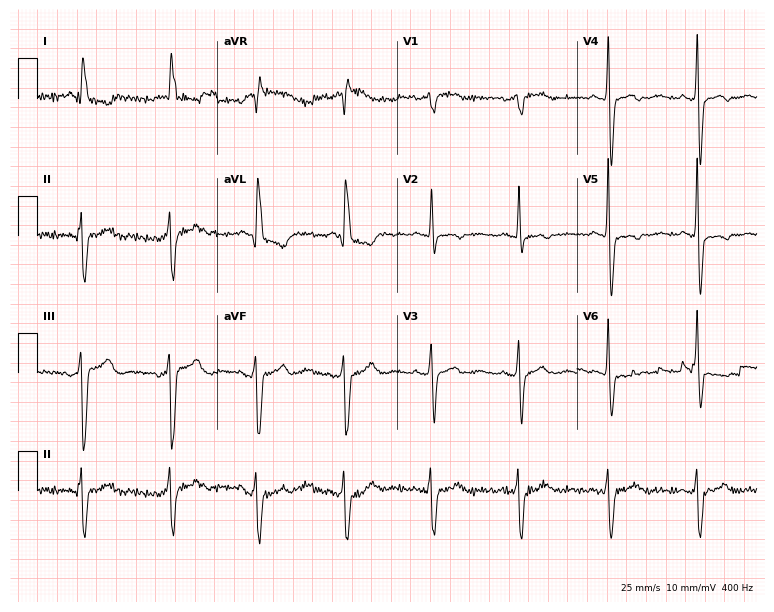
Resting 12-lead electrocardiogram. Patient: a 71-year-old female. None of these six findings is recorded: first-degree AV block, right bundle branch block, left bundle branch block, sinus bradycardia, atrial fibrillation, sinus tachycardia. Other findings, if any, are not listed.